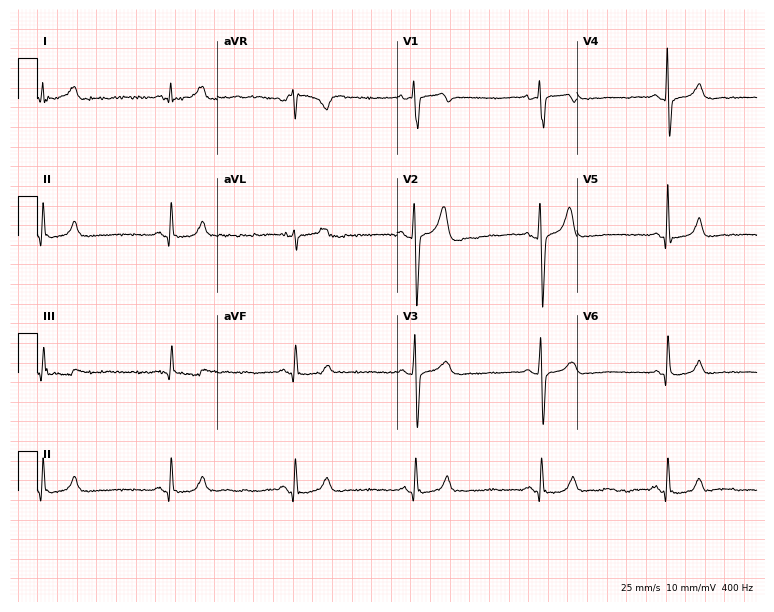
12-lead ECG from a 28-year-old male patient (7.3-second recording at 400 Hz). Shows sinus bradycardia (a sinus rate of 50 beats per minute or less).